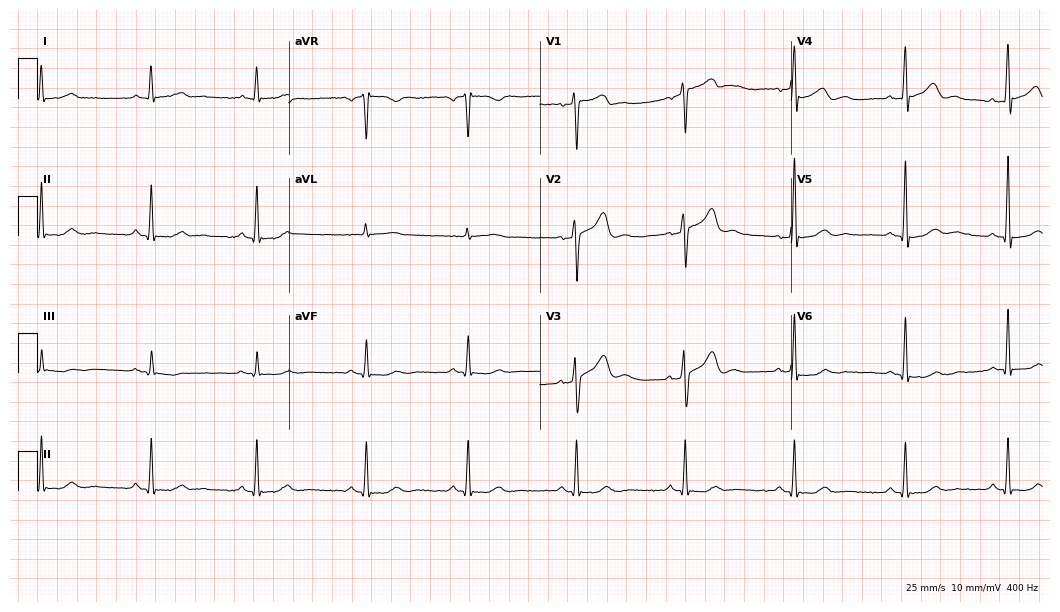
ECG (10.2-second recording at 400 Hz) — a man, 45 years old. Labelled as a normal ECG.